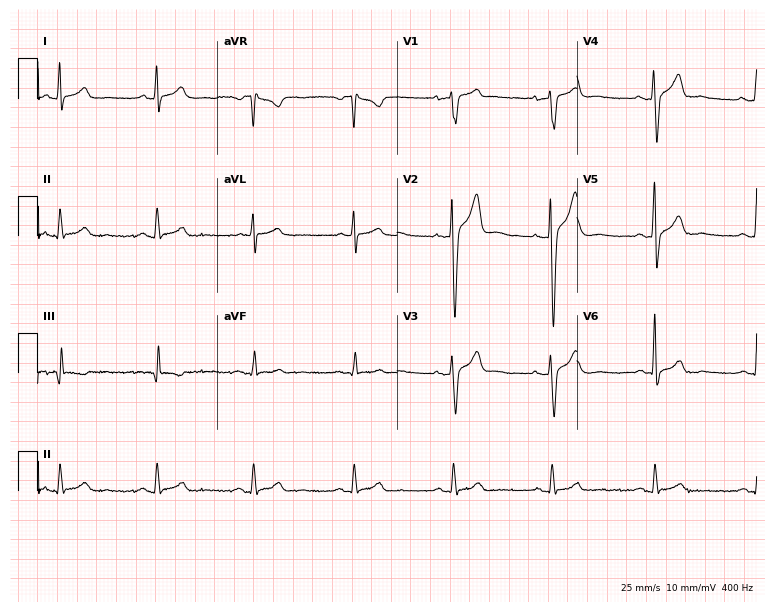
Standard 12-lead ECG recorded from a male patient, 36 years old. Read as a normal ECG.